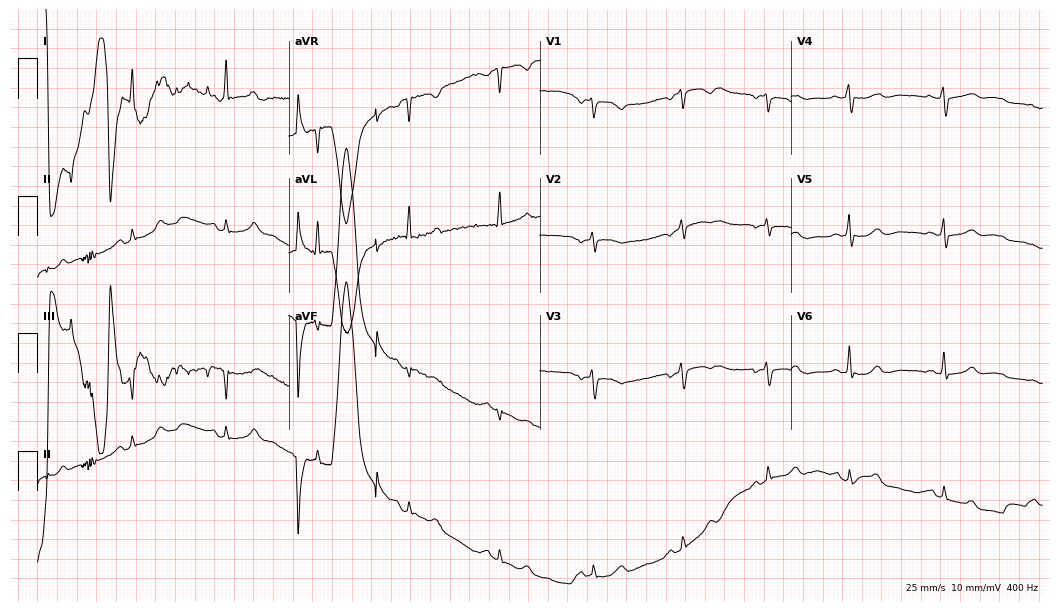
Electrocardiogram (10.2-second recording at 400 Hz), a 56-year-old female patient. Of the six screened findings (first-degree AV block, right bundle branch block, left bundle branch block, sinus bradycardia, atrial fibrillation, sinus tachycardia), none is recorded. Findings outside these six are not listed.